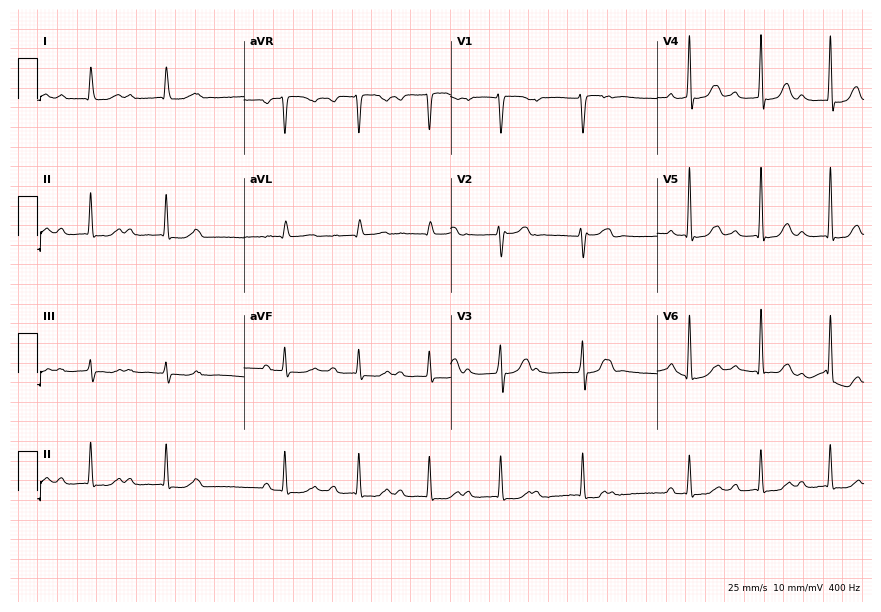
12-lead ECG from a 69-year-old woman. Shows first-degree AV block.